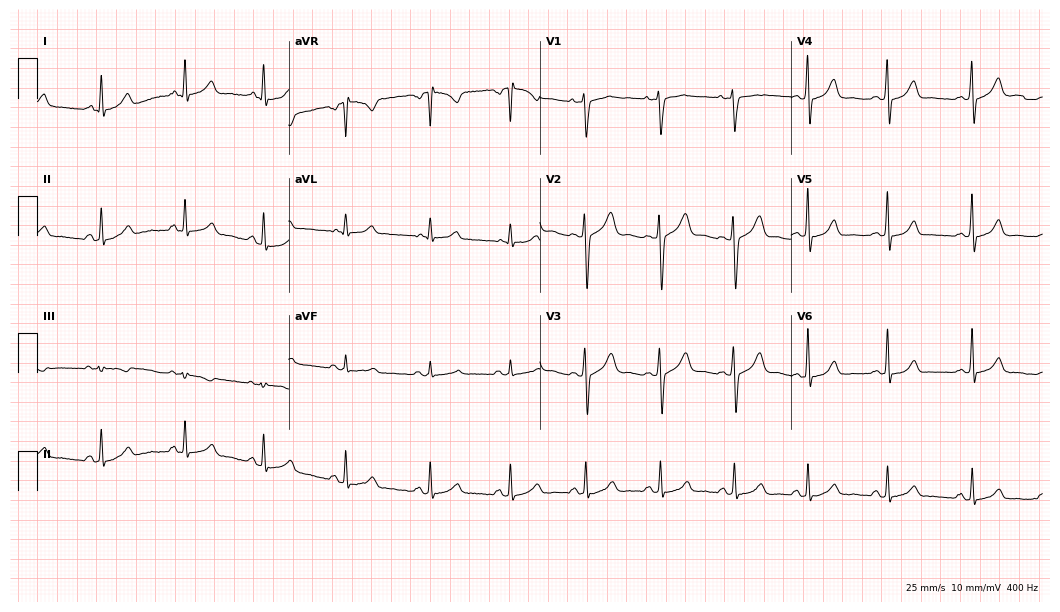
12-lead ECG (10.2-second recording at 400 Hz) from a woman, 27 years old. Labelled as a normal ECG.